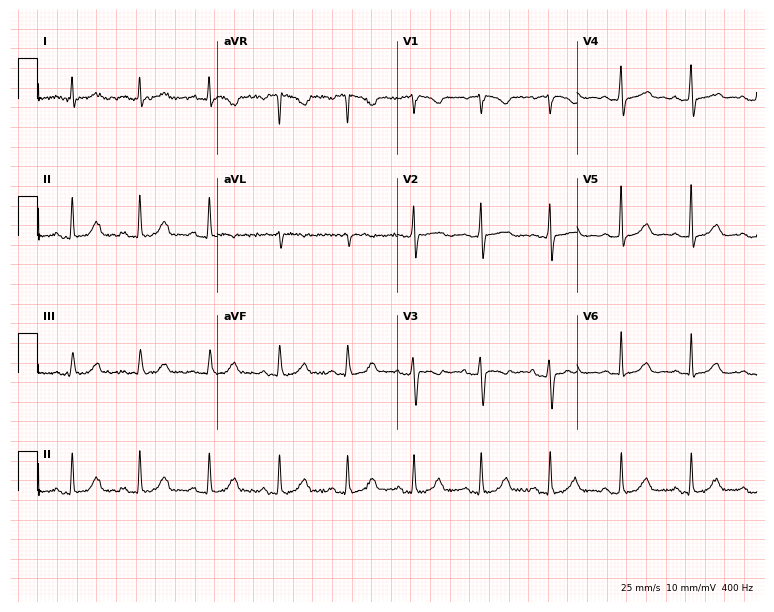
Electrocardiogram, a 41-year-old female. Overall reading on record: normal ECG.